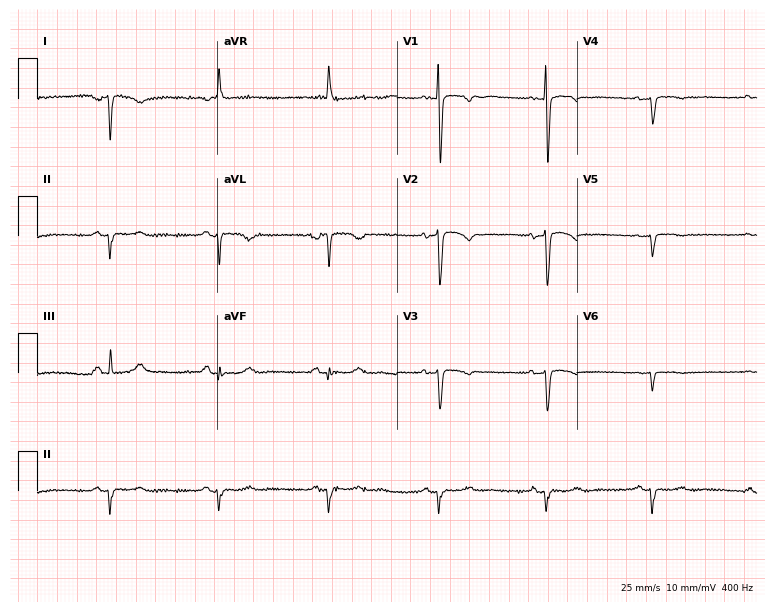
Electrocardiogram, a 75-year-old female. Of the six screened findings (first-degree AV block, right bundle branch block (RBBB), left bundle branch block (LBBB), sinus bradycardia, atrial fibrillation (AF), sinus tachycardia), none is recorded.